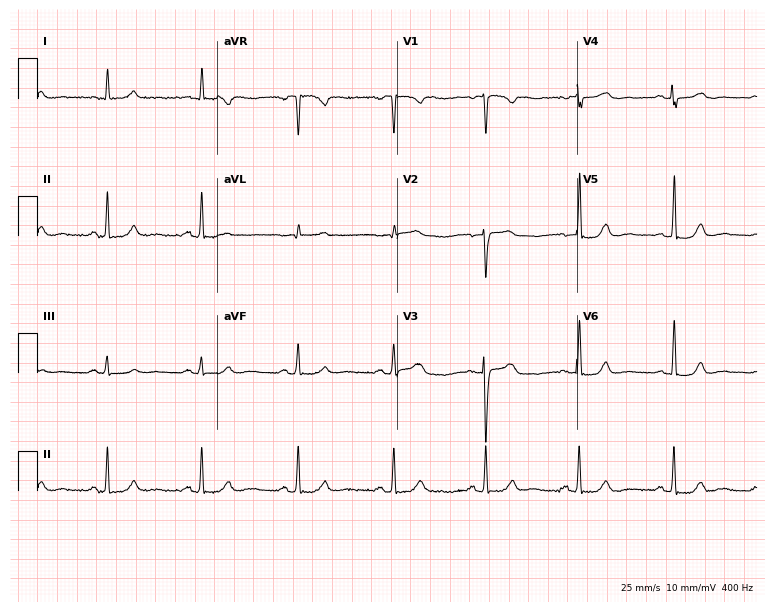
Electrocardiogram (7.3-second recording at 400 Hz), a 42-year-old female patient. Overall reading on record: normal ECG.